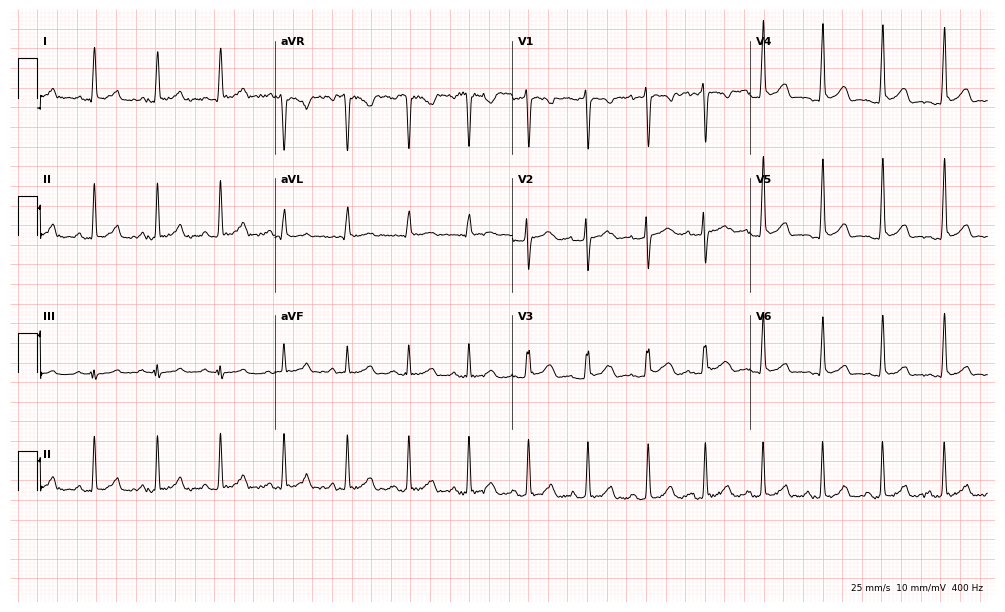
12-lead ECG from a woman, 24 years old. Labelled as a normal ECG.